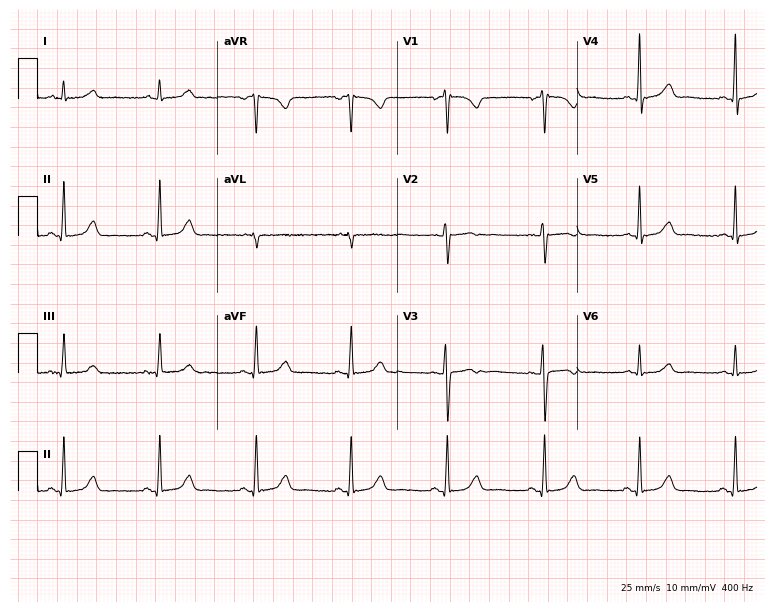
Electrocardiogram (7.3-second recording at 400 Hz), a female, 51 years old. Overall reading on record: normal ECG.